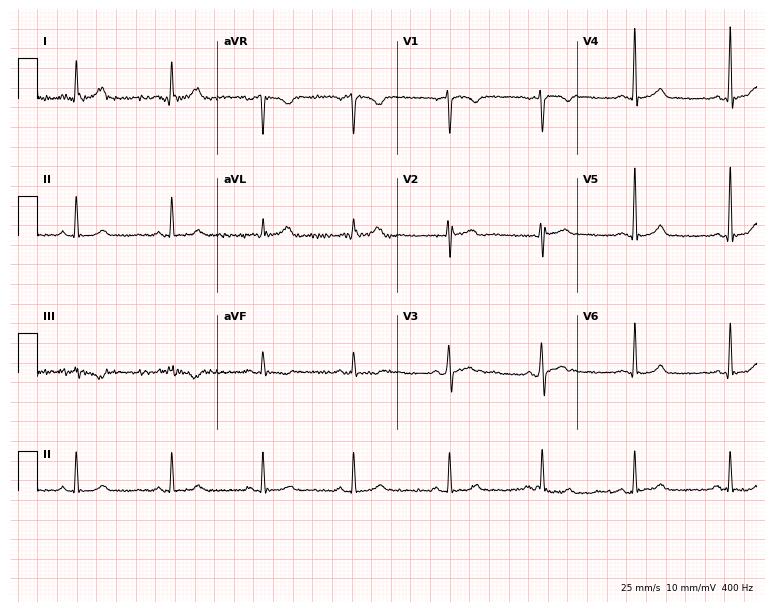
Electrocardiogram (7.3-second recording at 400 Hz), a male patient, 31 years old. Overall reading on record: normal ECG.